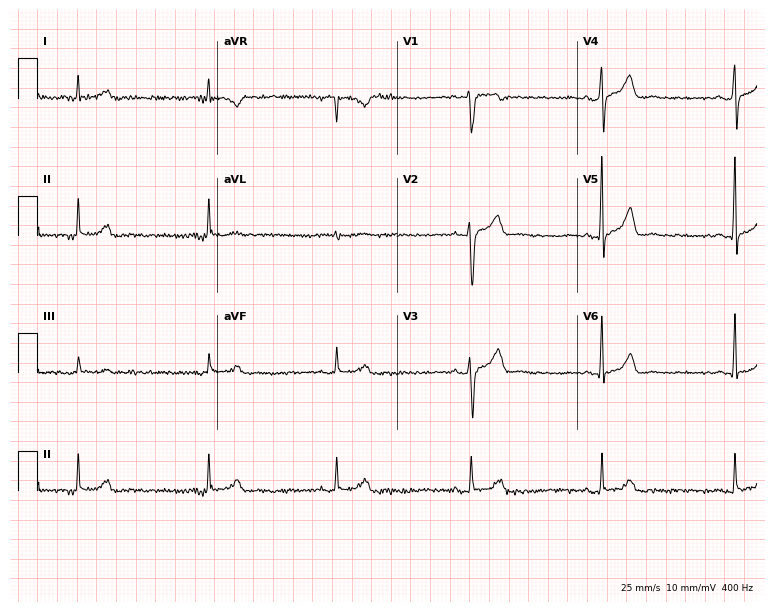
12-lead ECG from a man, 58 years old. Shows sinus bradycardia (a sinus rate of 50 beats per minute or less).